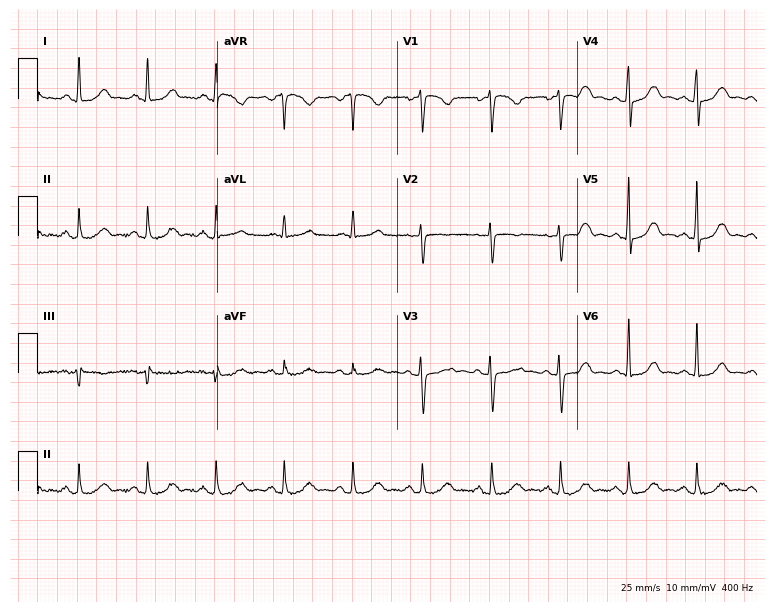
Standard 12-lead ECG recorded from a female patient, 57 years old. Read as a normal ECG.